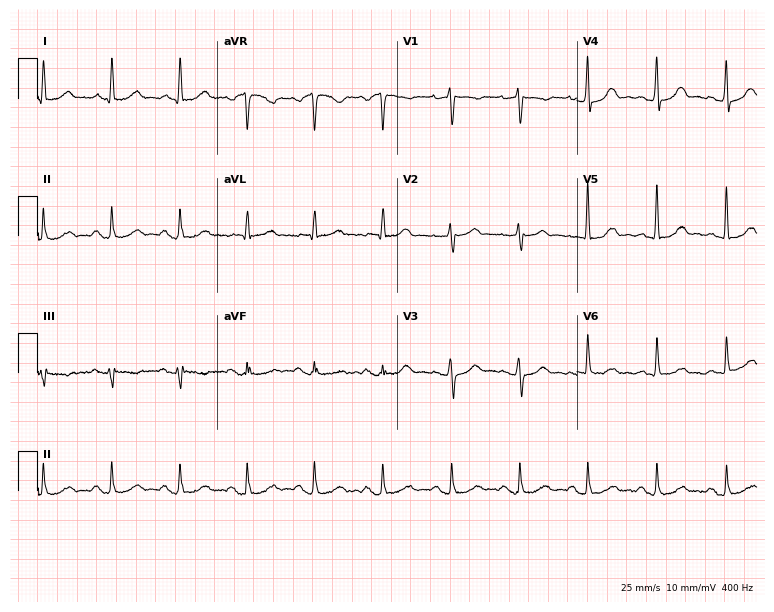
12-lead ECG from a 58-year-old female. No first-degree AV block, right bundle branch block (RBBB), left bundle branch block (LBBB), sinus bradycardia, atrial fibrillation (AF) or sinus tachycardia recorded for this tracing.